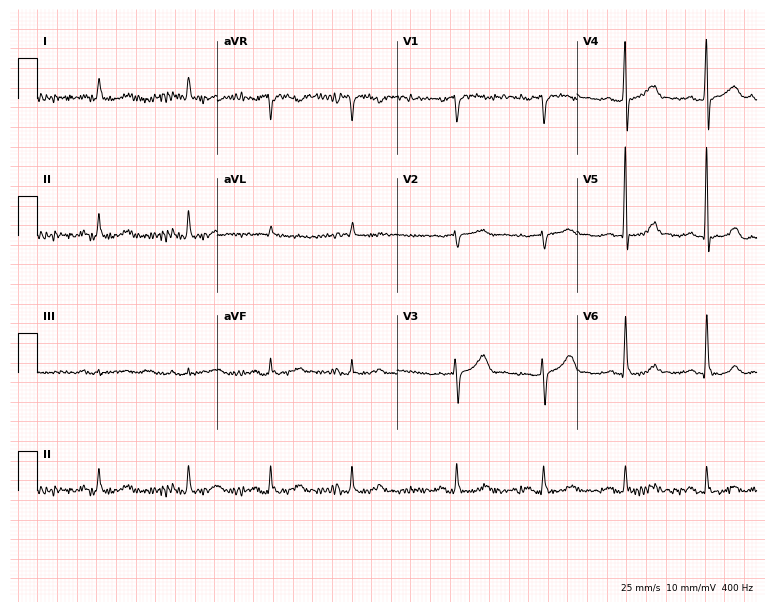
Standard 12-lead ECG recorded from a 70-year-old female patient. Read as a normal ECG.